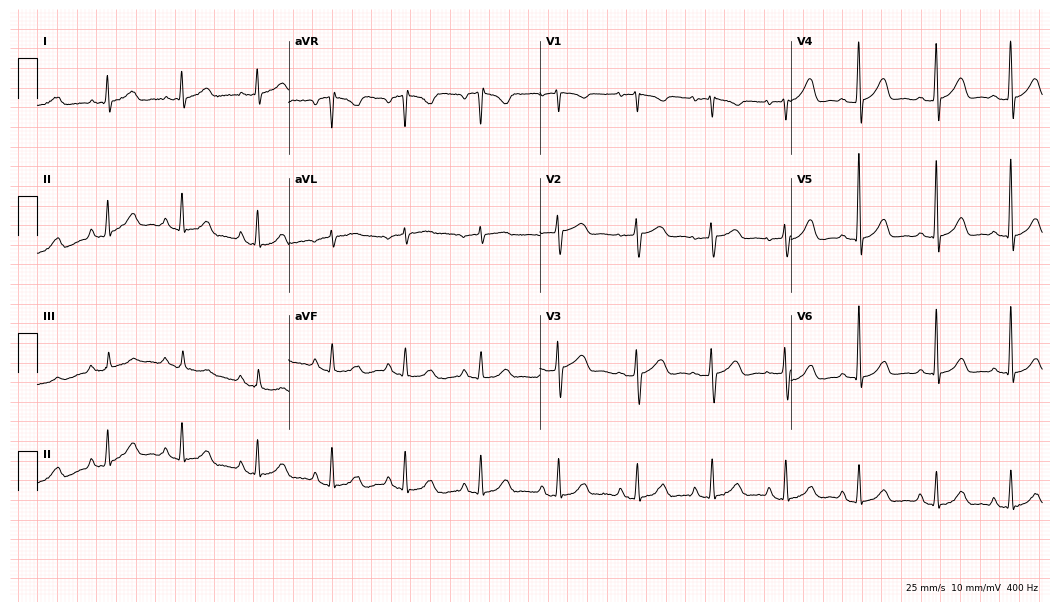
12-lead ECG from a 57-year-old female patient (10.2-second recording at 400 Hz). Recorded interpretation: within normal limits.